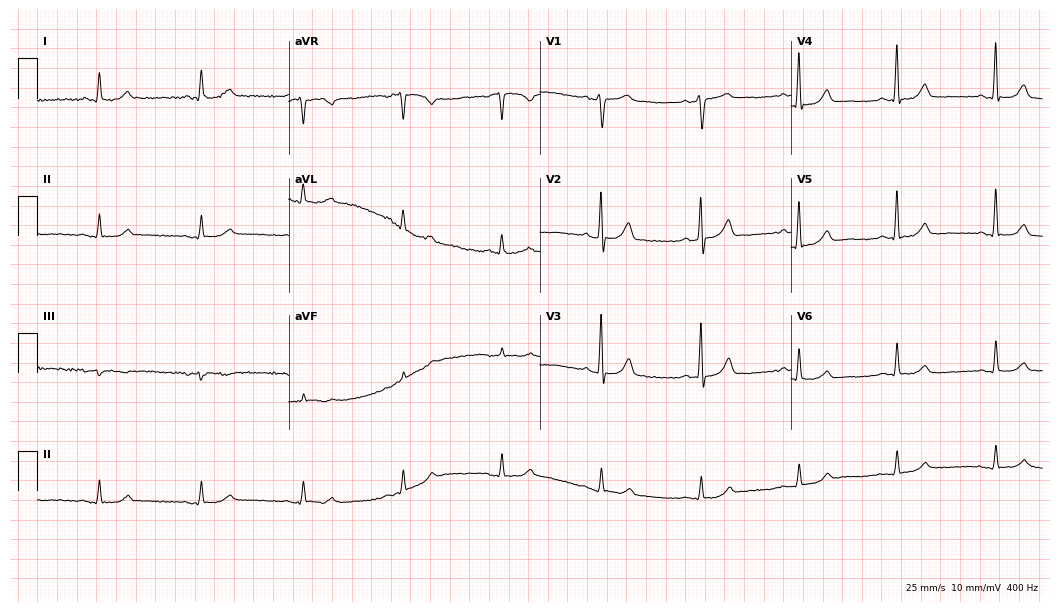
Standard 12-lead ECG recorded from an 82-year-old male patient (10.2-second recording at 400 Hz). Read as a normal ECG.